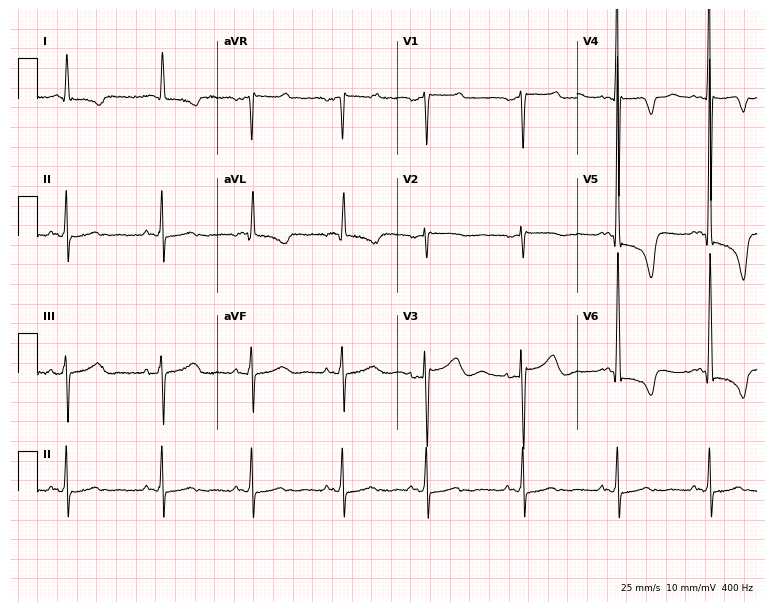
ECG — a 68-year-old woman. Screened for six findings — first-degree AV block, right bundle branch block, left bundle branch block, sinus bradycardia, atrial fibrillation, sinus tachycardia — none is recorded.